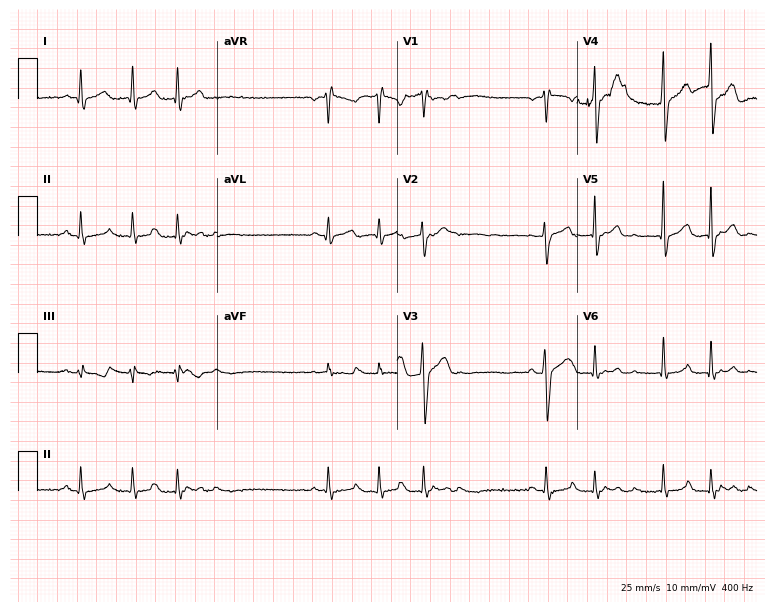
ECG (7.3-second recording at 400 Hz) — a 50-year-old male. Screened for six findings — first-degree AV block, right bundle branch block, left bundle branch block, sinus bradycardia, atrial fibrillation, sinus tachycardia — none is recorded. Only these six findings were labelled.